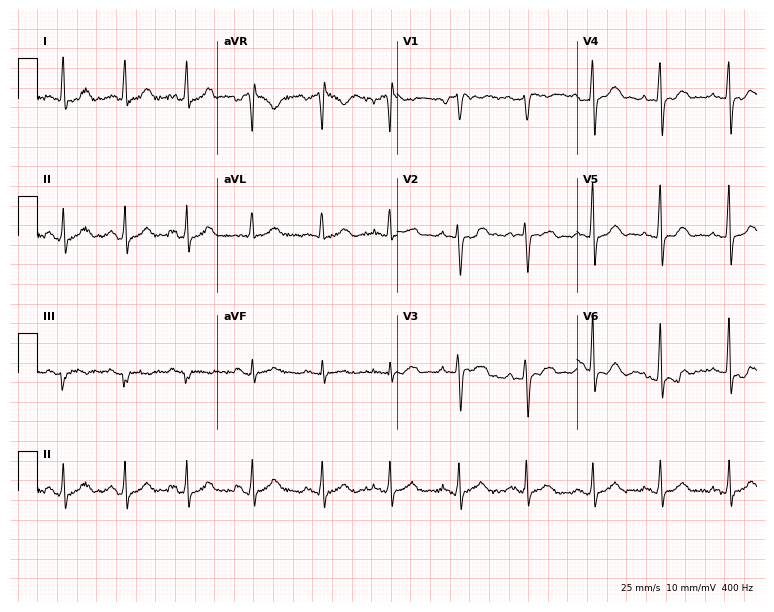
12-lead ECG (7.3-second recording at 400 Hz) from a 33-year-old woman. Labelled as a normal ECG.